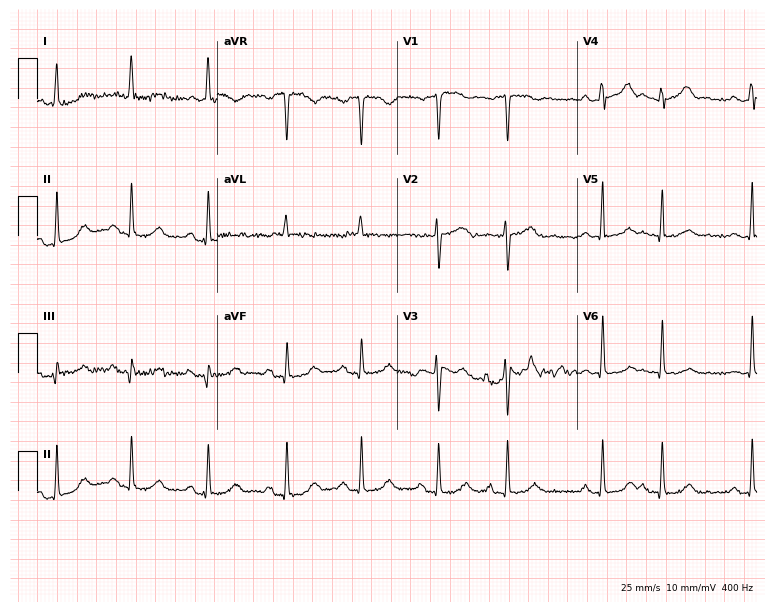
Electrocardiogram, a female patient, 76 years old. Of the six screened findings (first-degree AV block, right bundle branch block (RBBB), left bundle branch block (LBBB), sinus bradycardia, atrial fibrillation (AF), sinus tachycardia), none is recorded.